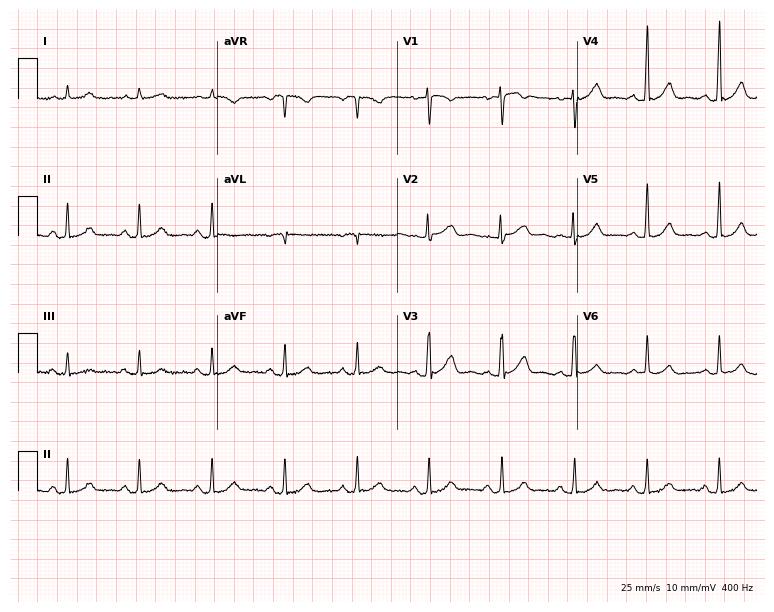
Standard 12-lead ECG recorded from a 38-year-old female. Read as a normal ECG.